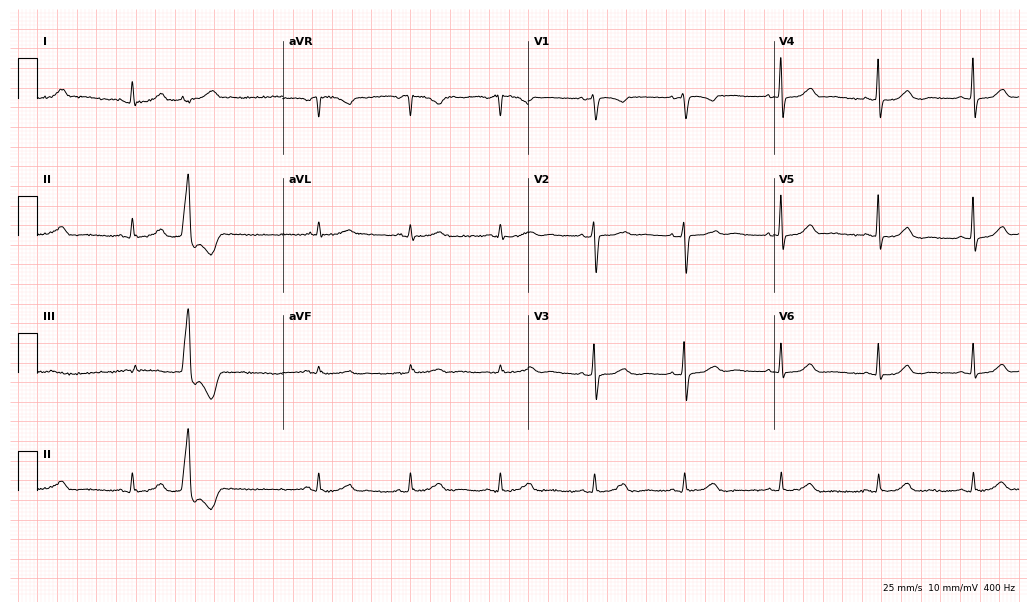
ECG (10-second recording at 400 Hz) — a female patient, 80 years old. Screened for six findings — first-degree AV block, right bundle branch block (RBBB), left bundle branch block (LBBB), sinus bradycardia, atrial fibrillation (AF), sinus tachycardia — none is recorded.